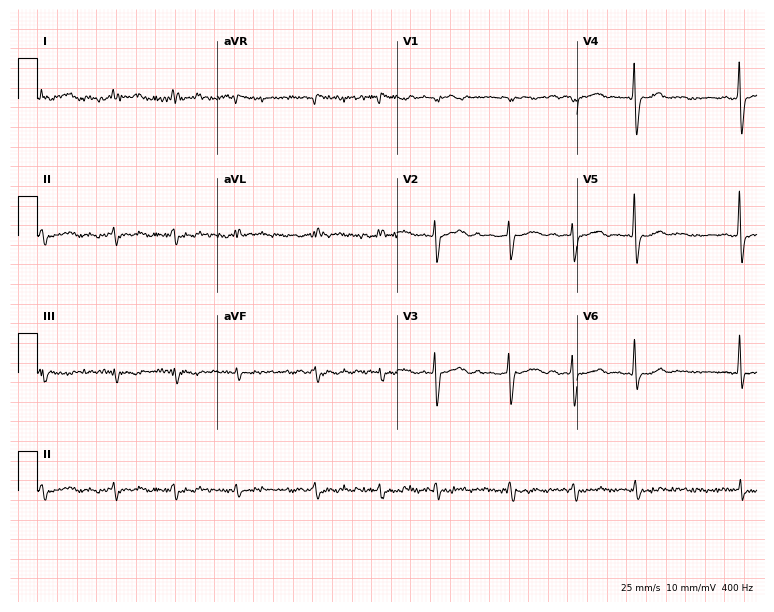
Resting 12-lead electrocardiogram. Patient: an 88-year-old male. The tracing shows atrial fibrillation.